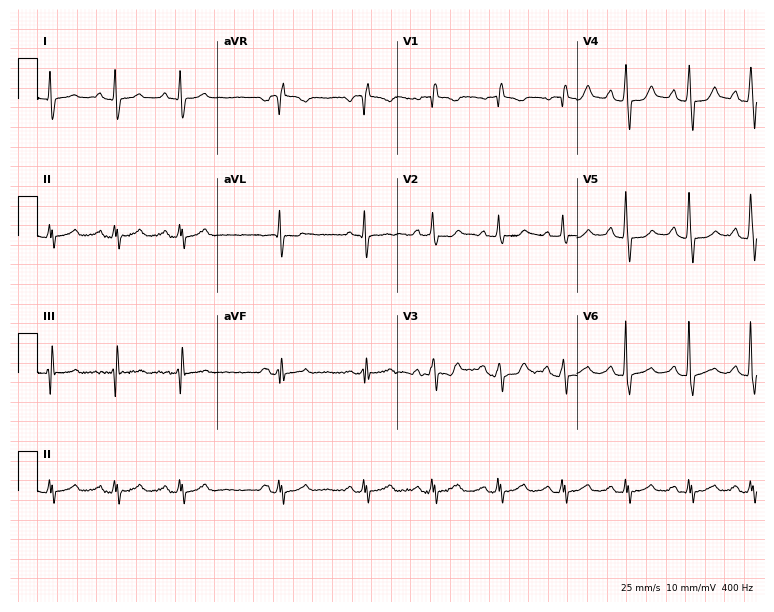
12-lead ECG from a 57-year-old woman (7.3-second recording at 400 Hz). No first-degree AV block, right bundle branch block (RBBB), left bundle branch block (LBBB), sinus bradycardia, atrial fibrillation (AF) or sinus tachycardia recorded for this tracing.